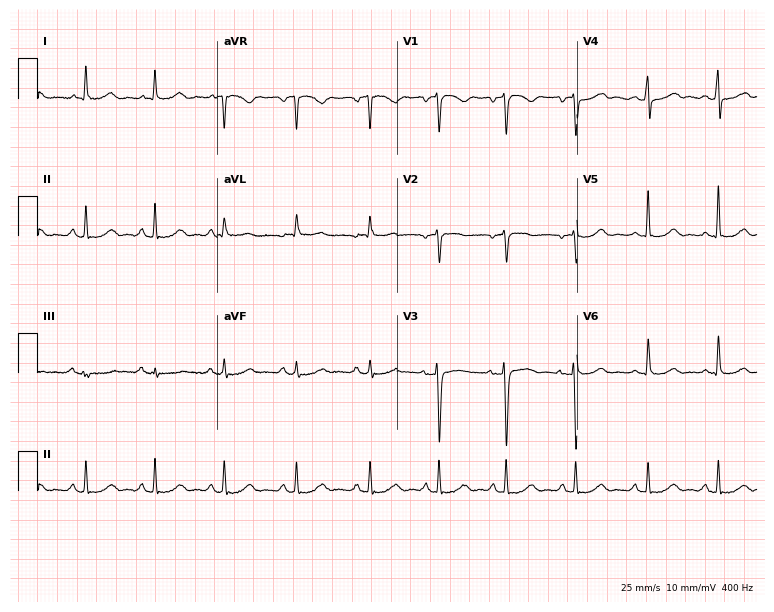
12-lead ECG (7.3-second recording at 400 Hz) from a female patient, 41 years old. Screened for six findings — first-degree AV block, right bundle branch block, left bundle branch block, sinus bradycardia, atrial fibrillation, sinus tachycardia — none is recorded.